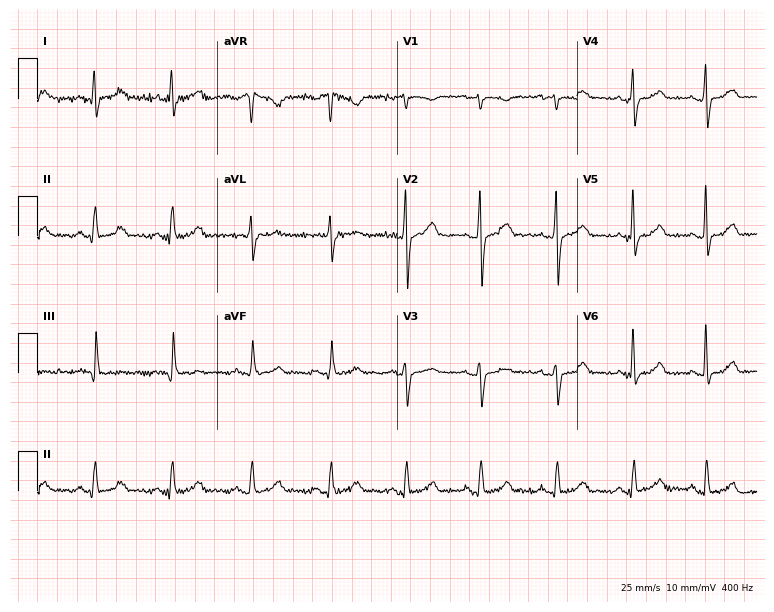
12-lead ECG from a 36-year-old female. Recorded interpretation: within normal limits.